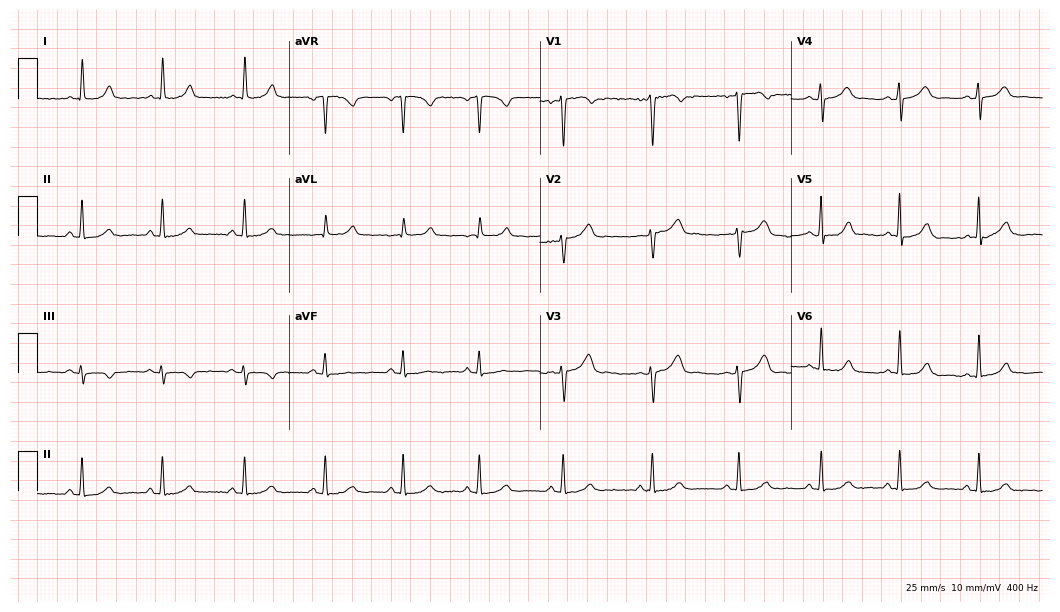
Electrocardiogram (10.2-second recording at 400 Hz), a 43-year-old female patient. Overall reading on record: normal ECG.